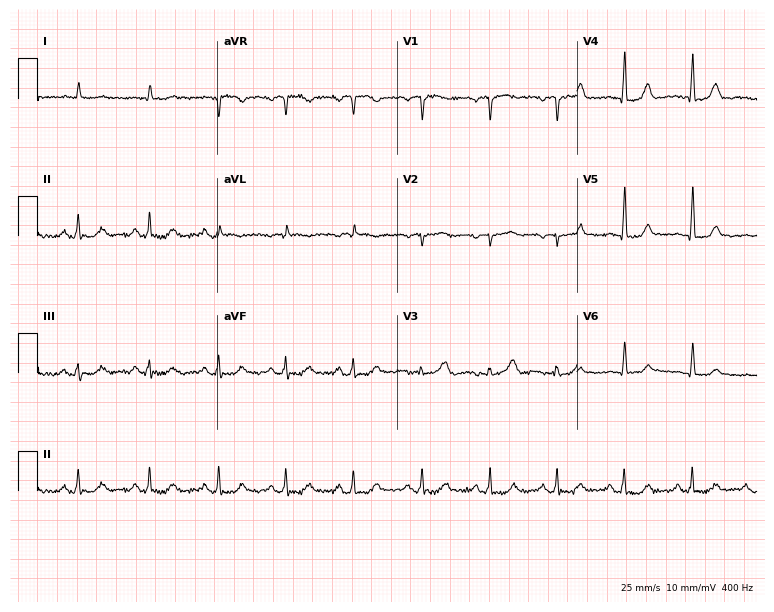
Electrocardiogram, an 84-year-old male patient. Overall reading on record: normal ECG.